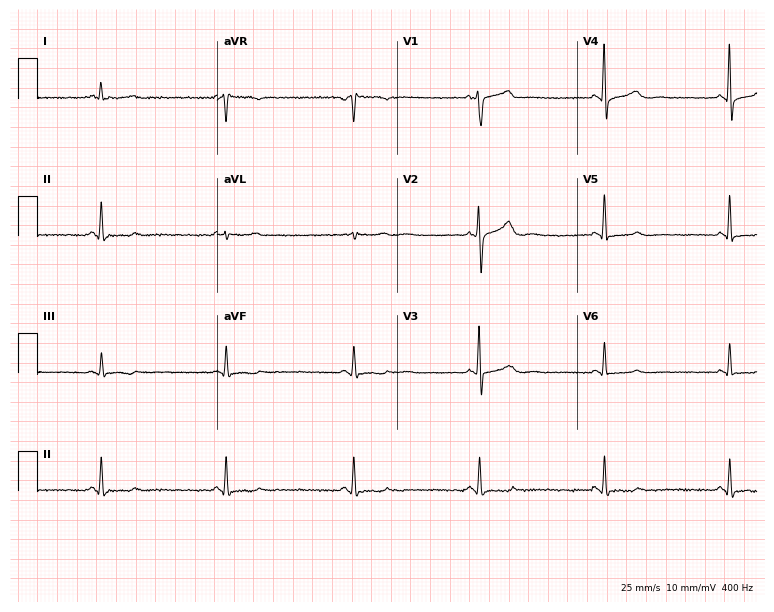
12-lead ECG from a male, 53 years old (7.3-second recording at 400 Hz). No first-degree AV block, right bundle branch block, left bundle branch block, sinus bradycardia, atrial fibrillation or sinus tachycardia recorded for this tracing.